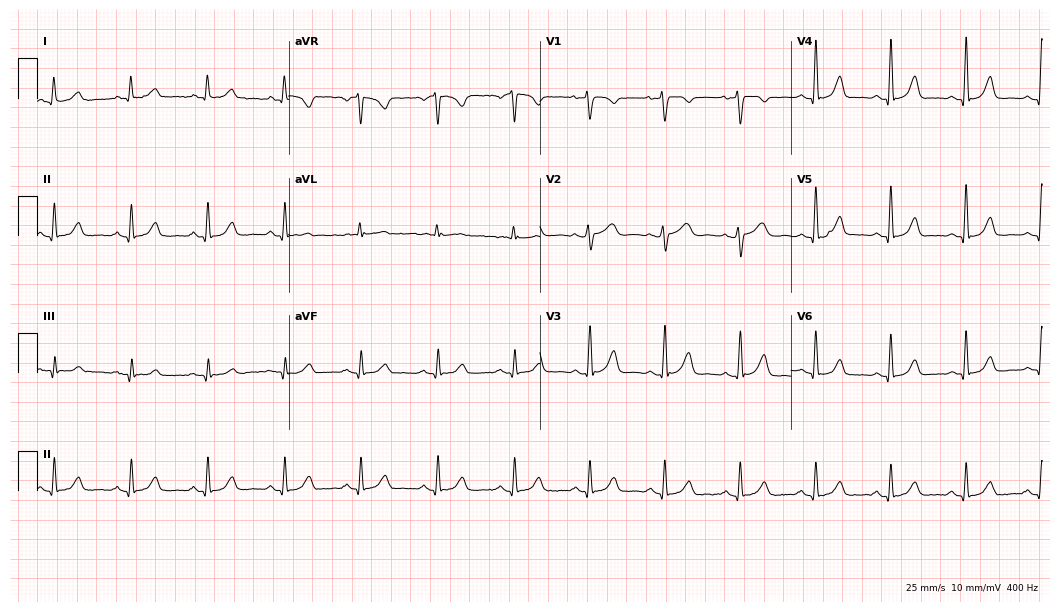
12-lead ECG (10.2-second recording at 400 Hz) from a female, 45 years old. Screened for six findings — first-degree AV block, right bundle branch block, left bundle branch block, sinus bradycardia, atrial fibrillation, sinus tachycardia — none is recorded.